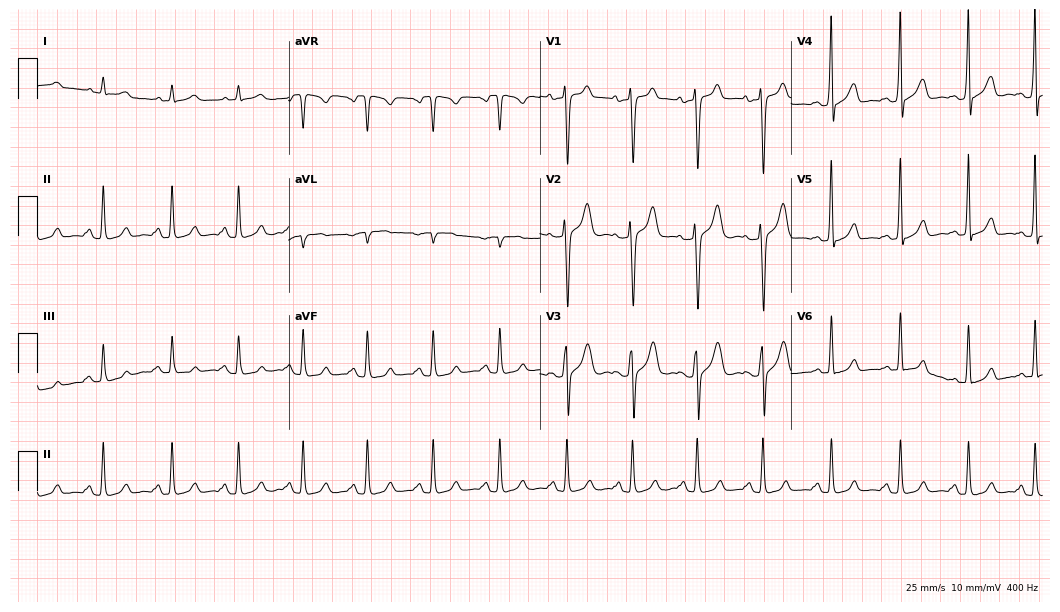
ECG — a male, 43 years old. Labelled as a normal ECG.